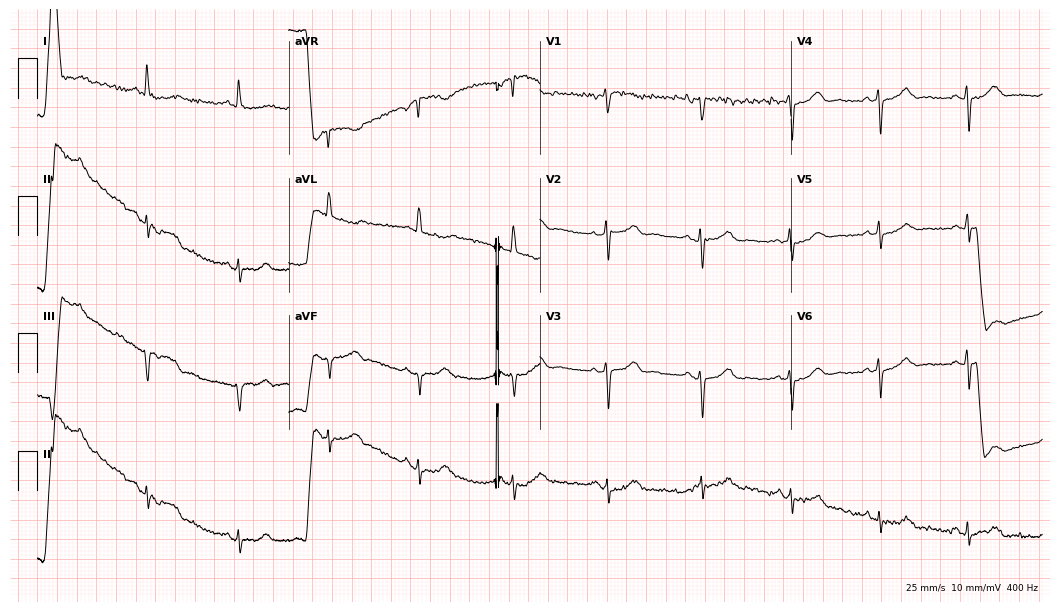
12-lead ECG from a 60-year-old female. No first-degree AV block, right bundle branch block (RBBB), left bundle branch block (LBBB), sinus bradycardia, atrial fibrillation (AF) or sinus tachycardia recorded for this tracing. Only these six findings were labelled.